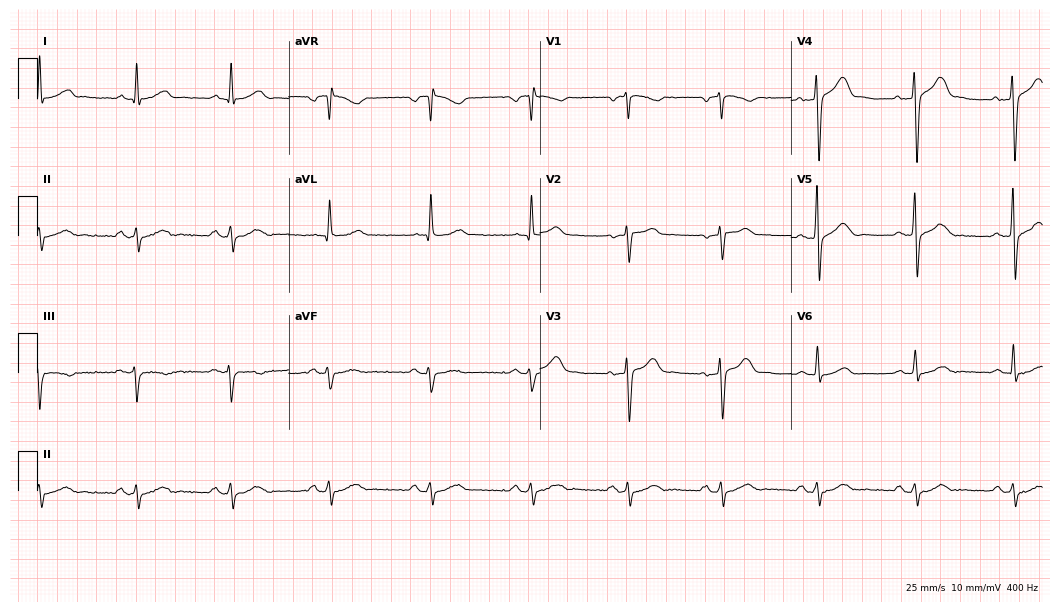
ECG (10.2-second recording at 400 Hz) — a 66-year-old male. Screened for six findings — first-degree AV block, right bundle branch block (RBBB), left bundle branch block (LBBB), sinus bradycardia, atrial fibrillation (AF), sinus tachycardia — none is recorded.